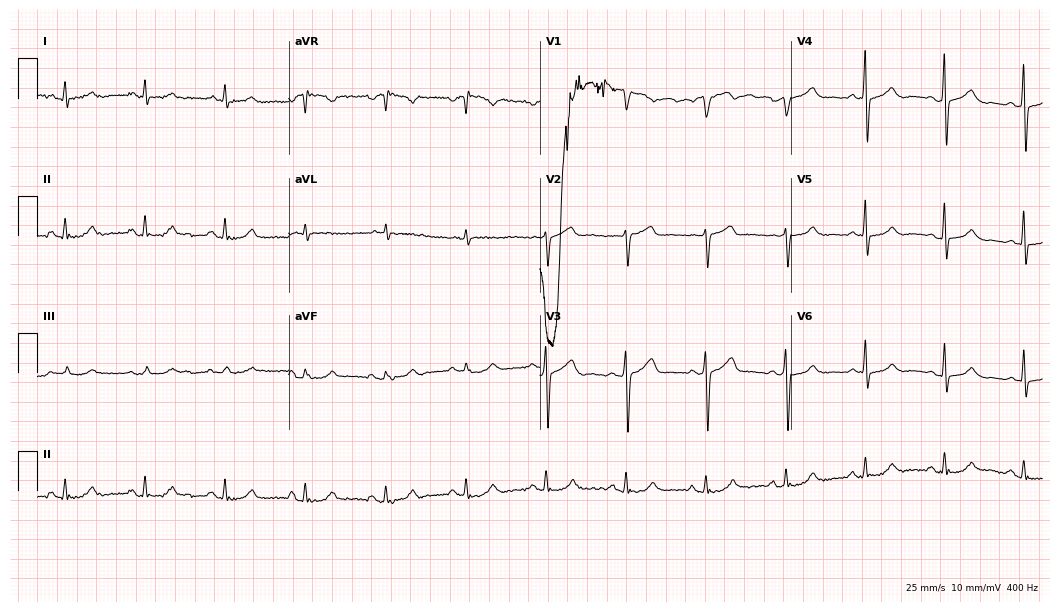
12-lead ECG (10.2-second recording at 400 Hz) from a man, 70 years old. Screened for six findings — first-degree AV block, right bundle branch block, left bundle branch block, sinus bradycardia, atrial fibrillation, sinus tachycardia — none is recorded. Other findings, if any, are not listed.